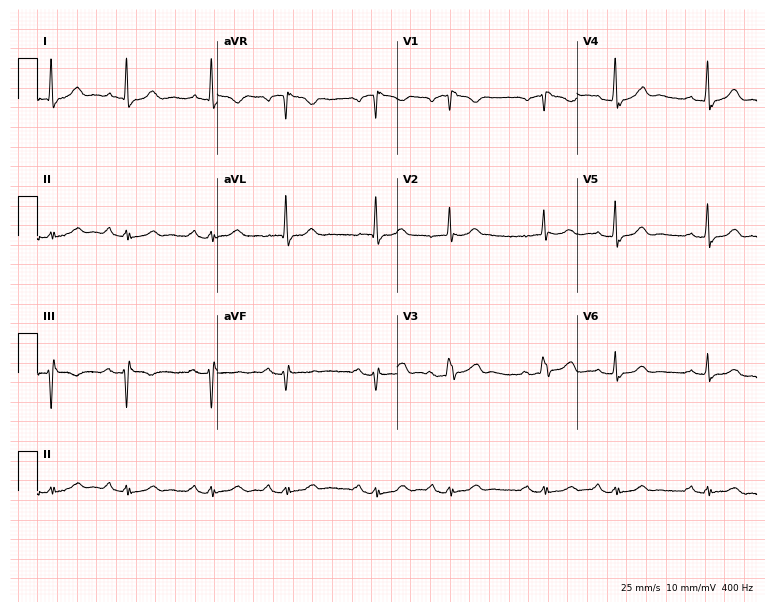
12-lead ECG from a man, 78 years old (7.3-second recording at 400 Hz). No first-degree AV block, right bundle branch block (RBBB), left bundle branch block (LBBB), sinus bradycardia, atrial fibrillation (AF) or sinus tachycardia recorded for this tracing. Findings outside these six are not listed.